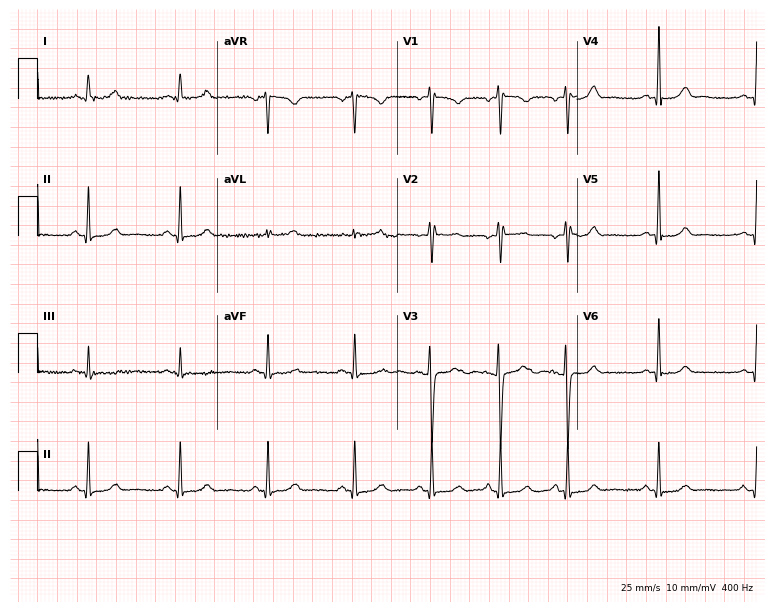
12-lead ECG from a 30-year-old female patient. Screened for six findings — first-degree AV block, right bundle branch block, left bundle branch block, sinus bradycardia, atrial fibrillation, sinus tachycardia — none is recorded.